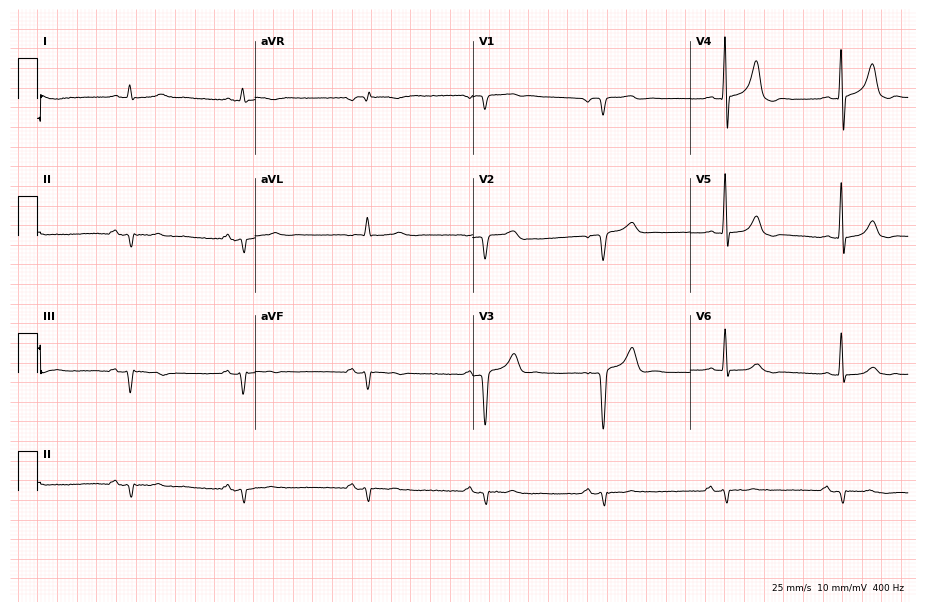
Electrocardiogram (8.9-second recording at 400 Hz), a male, 73 years old. Of the six screened findings (first-degree AV block, right bundle branch block (RBBB), left bundle branch block (LBBB), sinus bradycardia, atrial fibrillation (AF), sinus tachycardia), none is recorded.